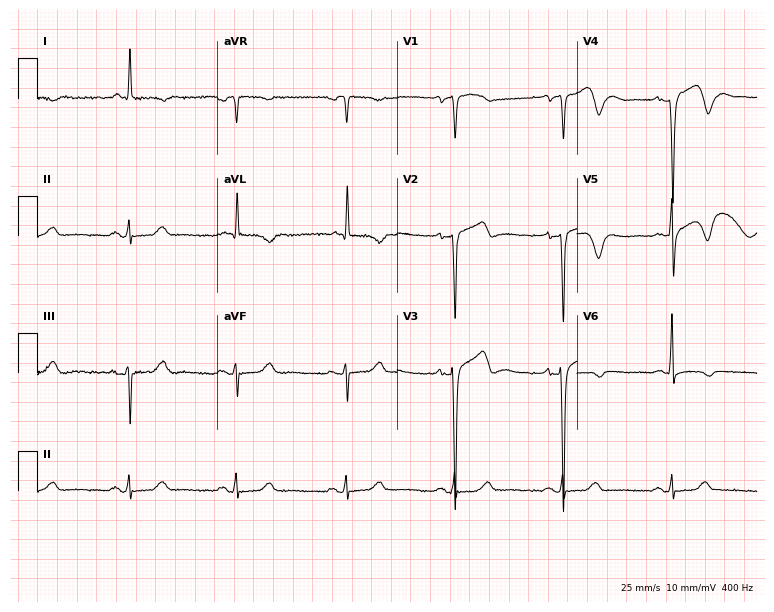
12-lead ECG from a female, 85 years old. No first-degree AV block, right bundle branch block (RBBB), left bundle branch block (LBBB), sinus bradycardia, atrial fibrillation (AF) or sinus tachycardia recorded for this tracing.